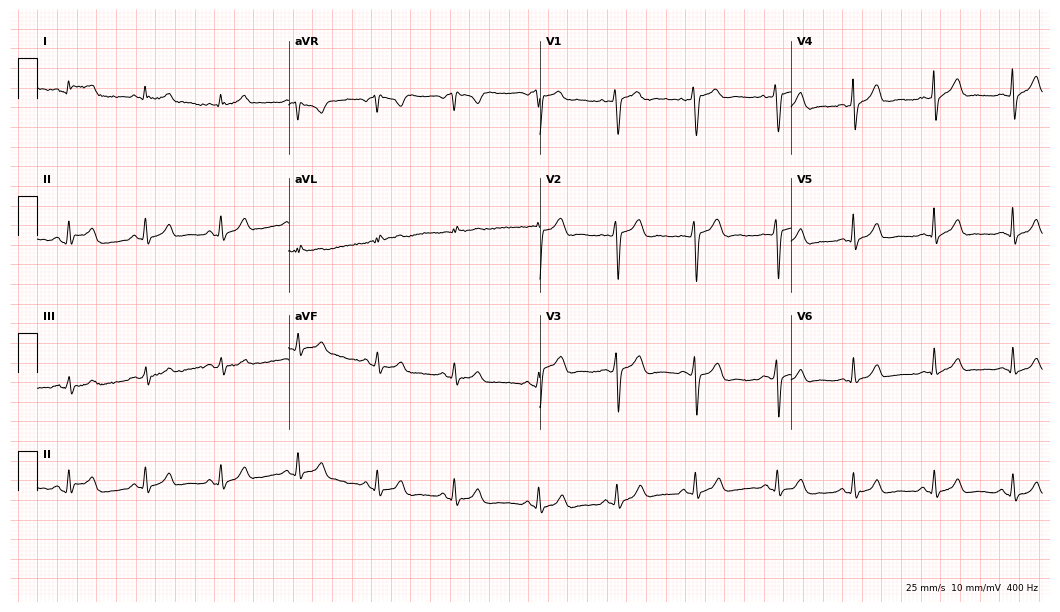
ECG (10.2-second recording at 400 Hz) — a male, 22 years old. Labelled as a normal ECG.